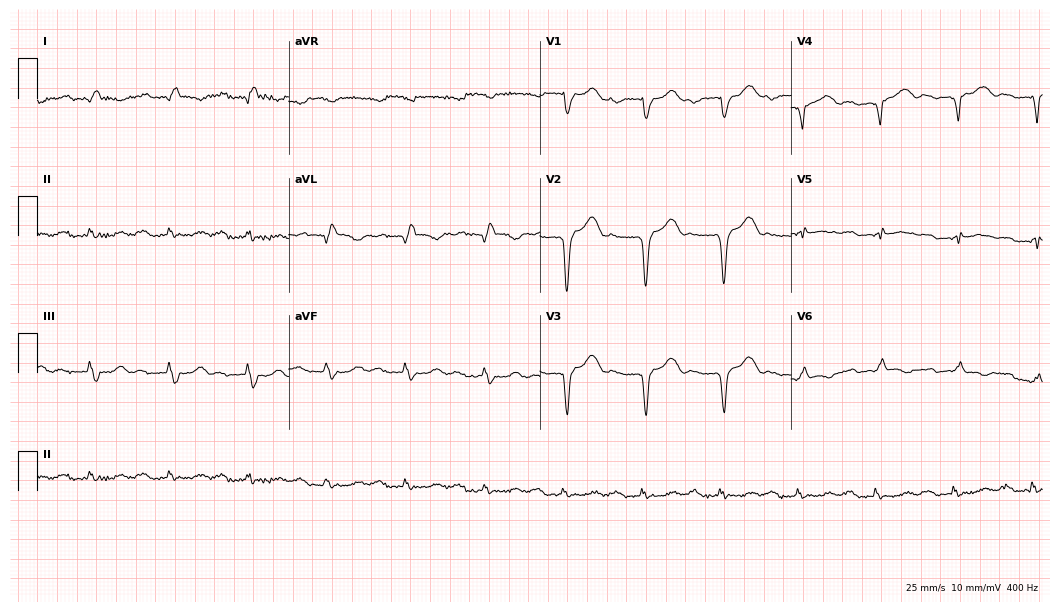
Electrocardiogram, a 76-year-old male patient. Interpretation includes first-degree AV block.